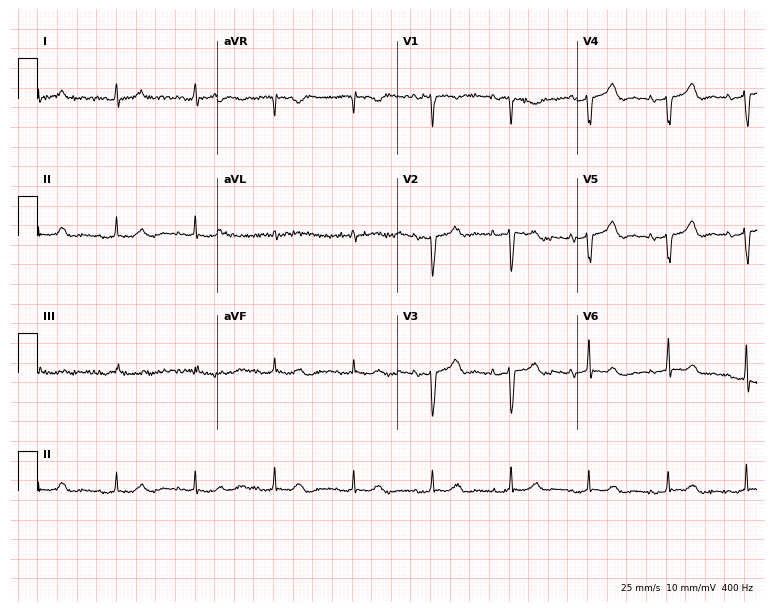
12-lead ECG (7.3-second recording at 400 Hz) from a female patient, 80 years old. Screened for six findings — first-degree AV block, right bundle branch block, left bundle branch block, sinus bradycardia, atrial fibrillation, sinus tachycardia — none is recorded. Findings outside these six are not listed.